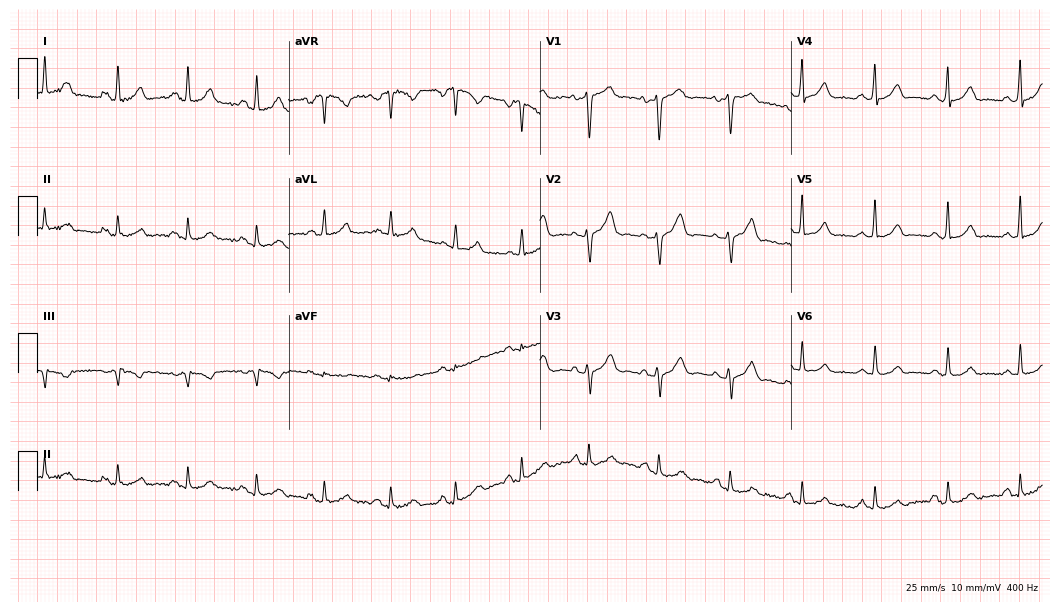
12-lead ECG from a 42-year-old female (10.2-second recording at 400 Hz). Recorded interpretation: within normal limits.